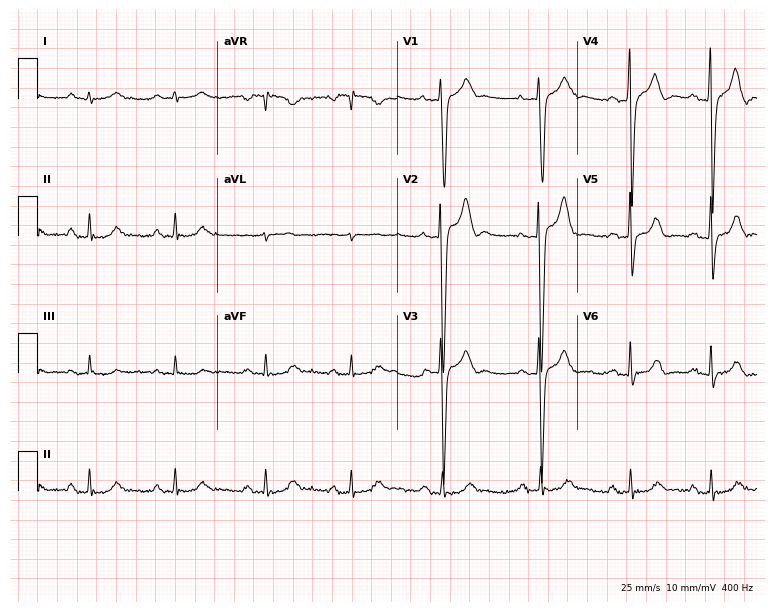
12-lead ECG from a 19-year-old male patient. Recorded interpretation: within normal limits.